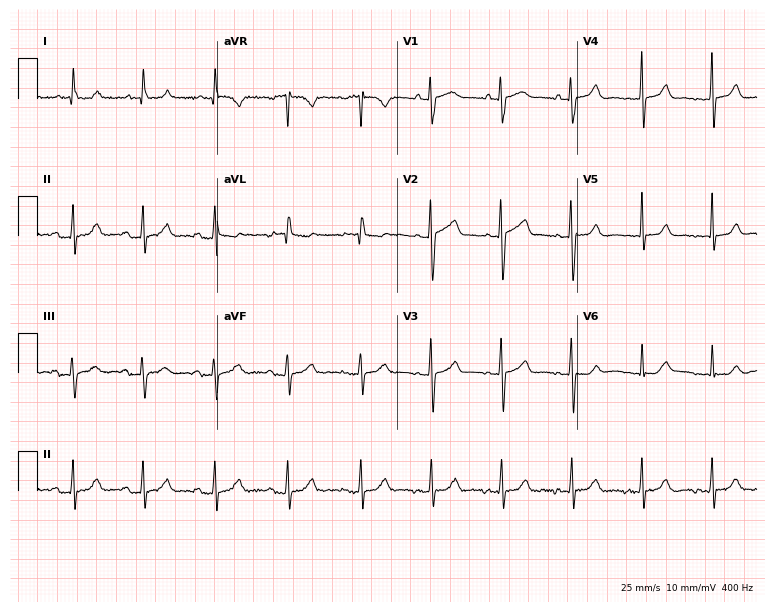
Electrocardiogram (7.3-second recording at 400 Hz), a 70-year-old female patient. Of the six screened findings (first-degree AV block, right bundle branch block, left bundle branch block, sinus bradycardia, atrial fibrillation, sinus tachycardia), none is recorded. Only these six findings were labelled.